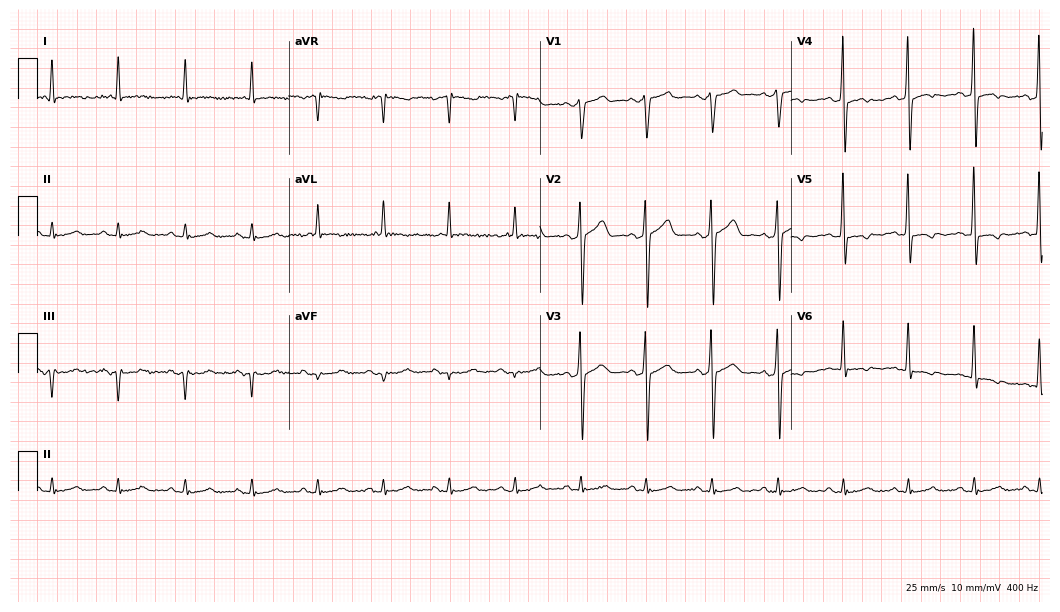
Electrocardiogram, a 68-year-old man. Of the six screened findings (first-degree AV block, right bundle branch block, left bundle branch block, sinus bradycardia, atrial fibrillation, sinus tachycardia), none is recorded. Other findings, if any, are not listed.